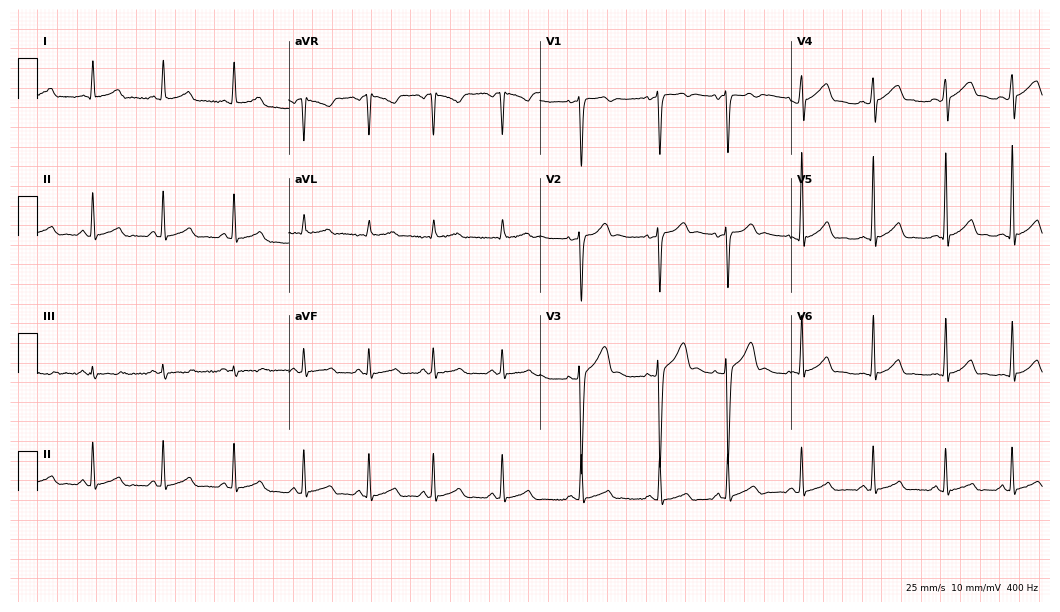
12-lead ECG from a 30-year-old male patient. Recorded interpretation: within normal limits.